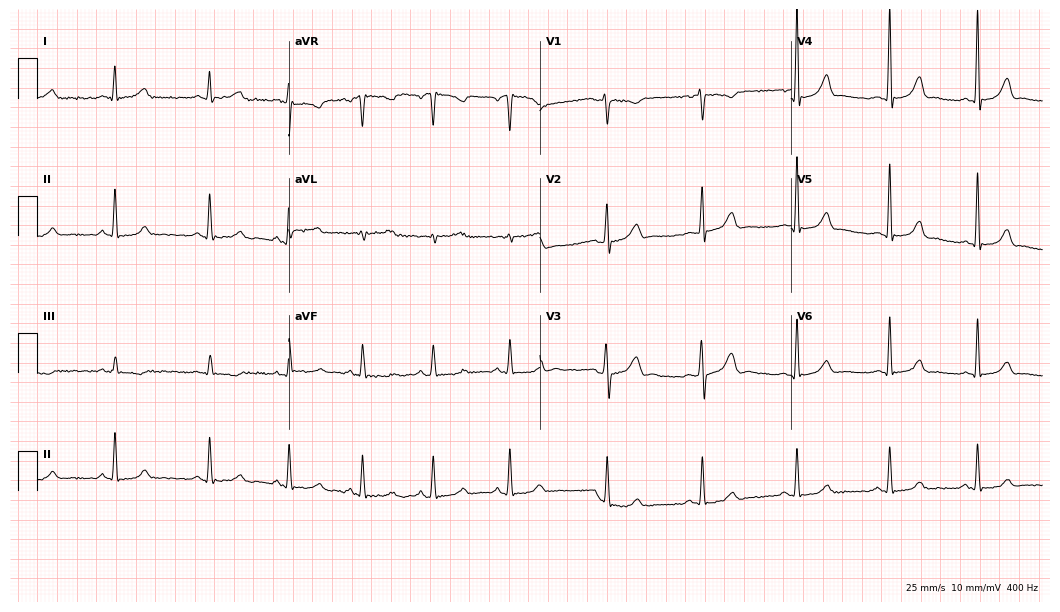
Electrocardiogram (10.2-second recording at 400 Hz), a 27-year-old female. Of the six screened findings (first-degree AV block, right bundle branch block (RBBB), left bundle branch block (LBBB), sinus bradycardia, atrial fibrillation (AF), sinus tachycardia), none is recorded.